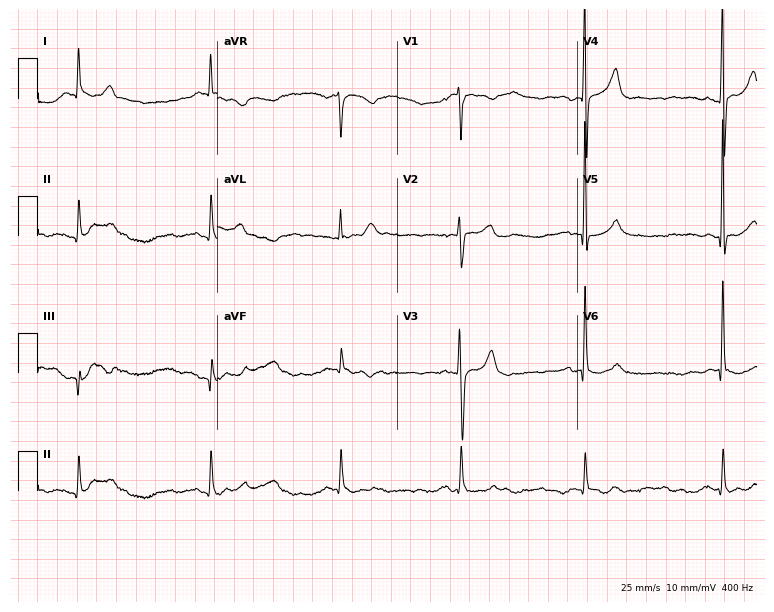
Resting 12-lead electrocardiogram (7.3-second recording at 400 Hz). Patient: a 58-year-old man. The tracing shows sinus bradycardia (a sinus rate of 50 beats per minute or less).